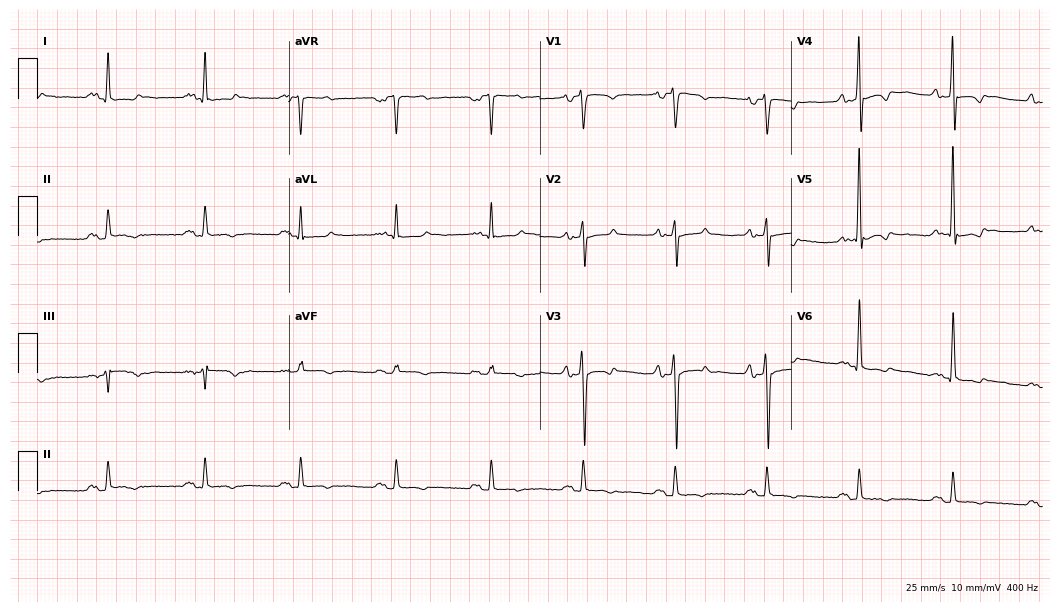
Resting 12-lead electrocardiogram (10.2-second recording at 400 Hz). Patient: a male, 34 years old. None of these six findings is recorded: first-degree AV block, right bundle branch block (RBBB), left bundle branch block (LBBB), sinus bradycardia, atrial fibrillation (AF), sinus tachycardia. Only these six findings were labelled.